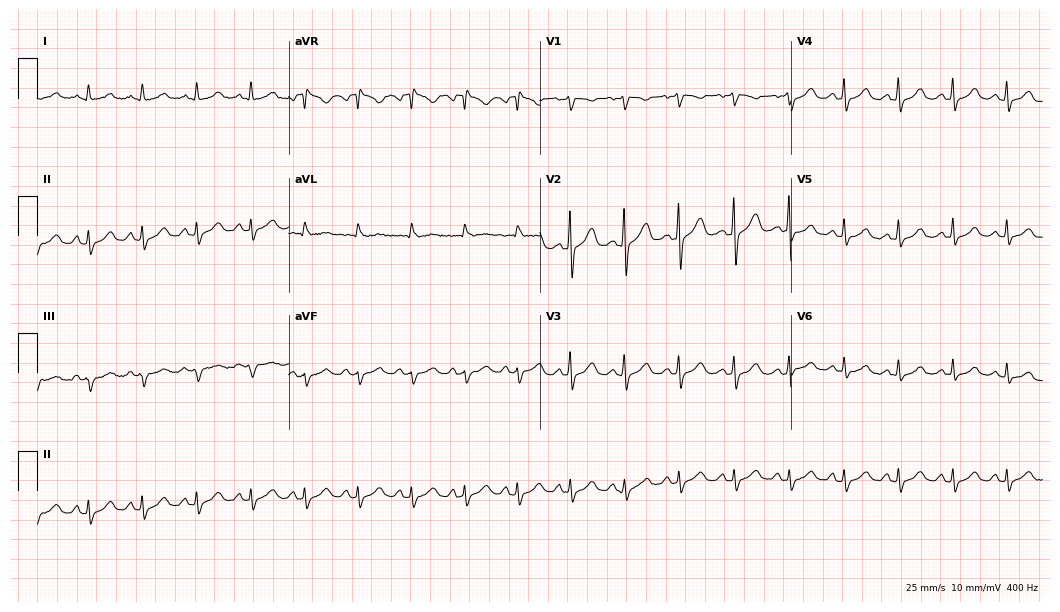
ECG (10.2-second recording at 400 Hz) — a 52-year-old man. Findings include sinus tachycardia (a sinus rate of 100 beats per minute or more).